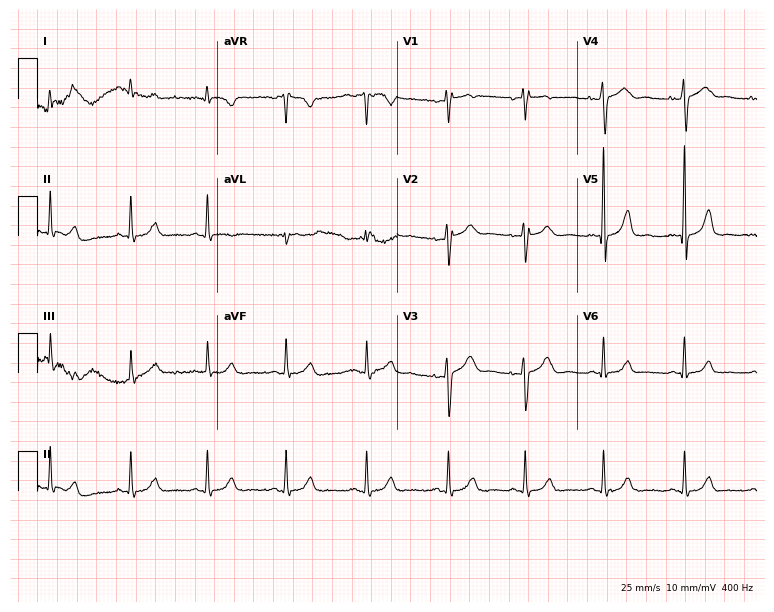
12-lead ECG from a female, 45 years old. Labelled as a normal ECG.